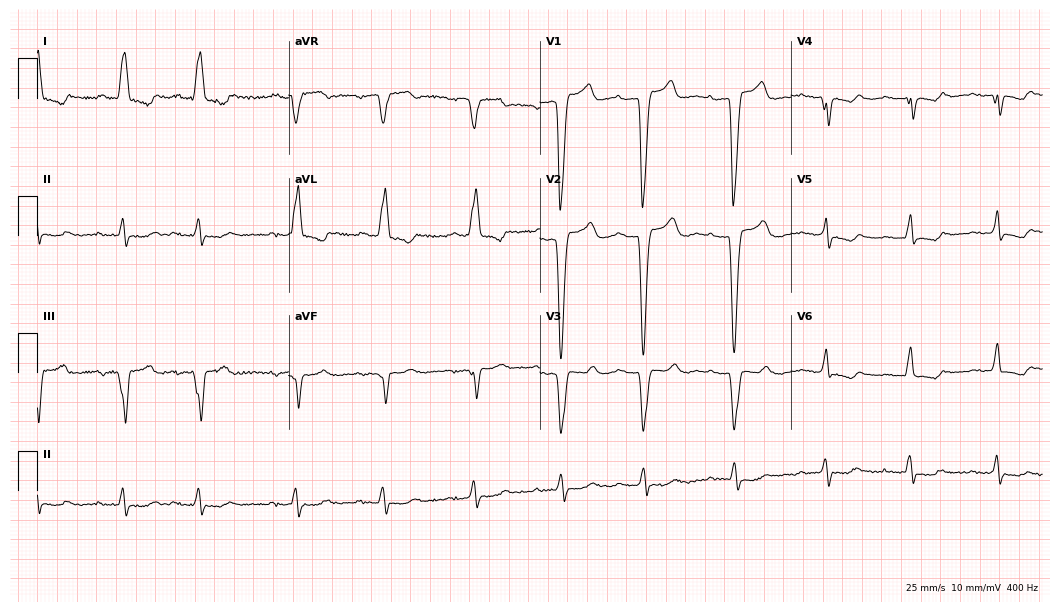
ECG — an 82-year-old female patient. Findings include first-degree AV block, left bundle branch block.